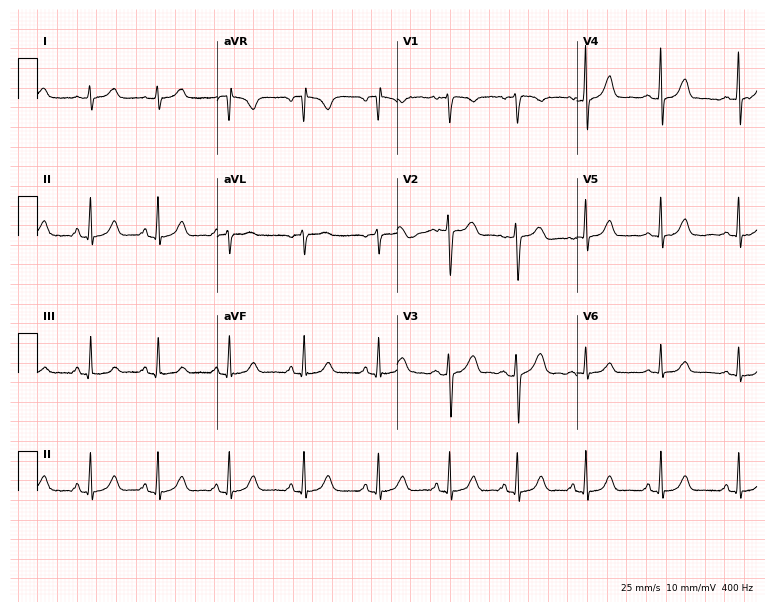
Electrocardiogram (7.3-second recording at 400 Hz), a female patient, 28 years old. Overall reading on record: normal ECG.